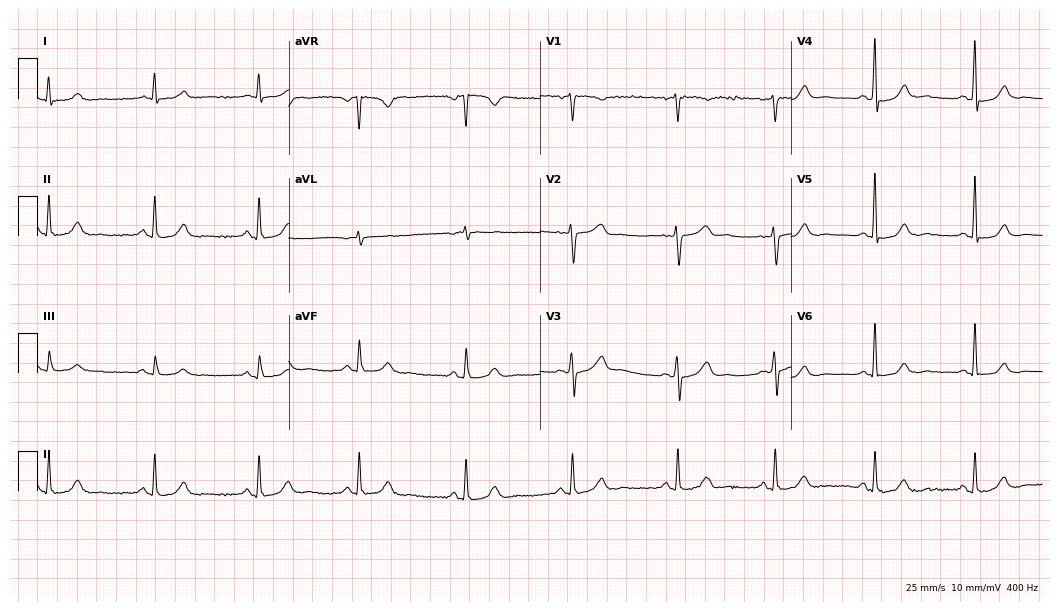
Electrocardiogram (10.2-second recording at 400 Hz), a female patient, 54 years old. Overall reading on record: normal ECG.